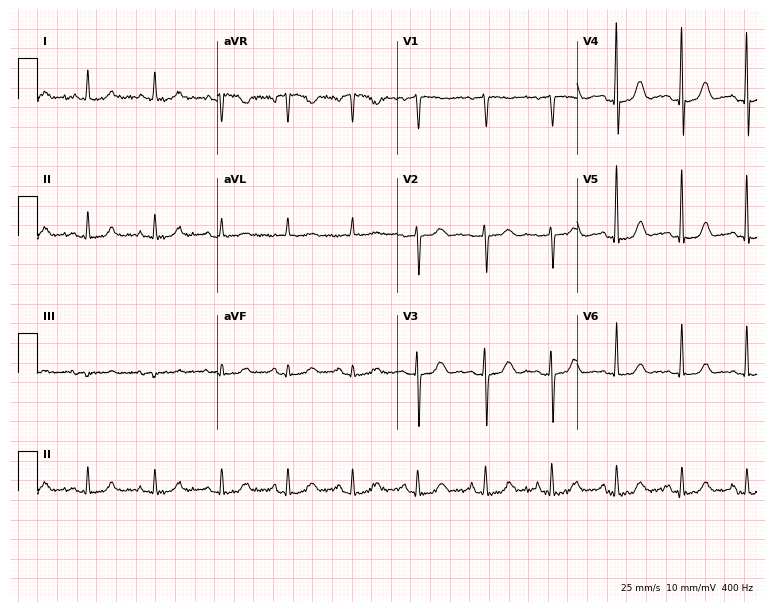
ECG — a 72-year-old female patient. Screened for six findings — first-degree AV block, right bundle branch block, left bundle branch block, sinus bradycardia, atrial fibrillation, sinus tachycardia — none is recorded. Other findings, if any, are not listed.